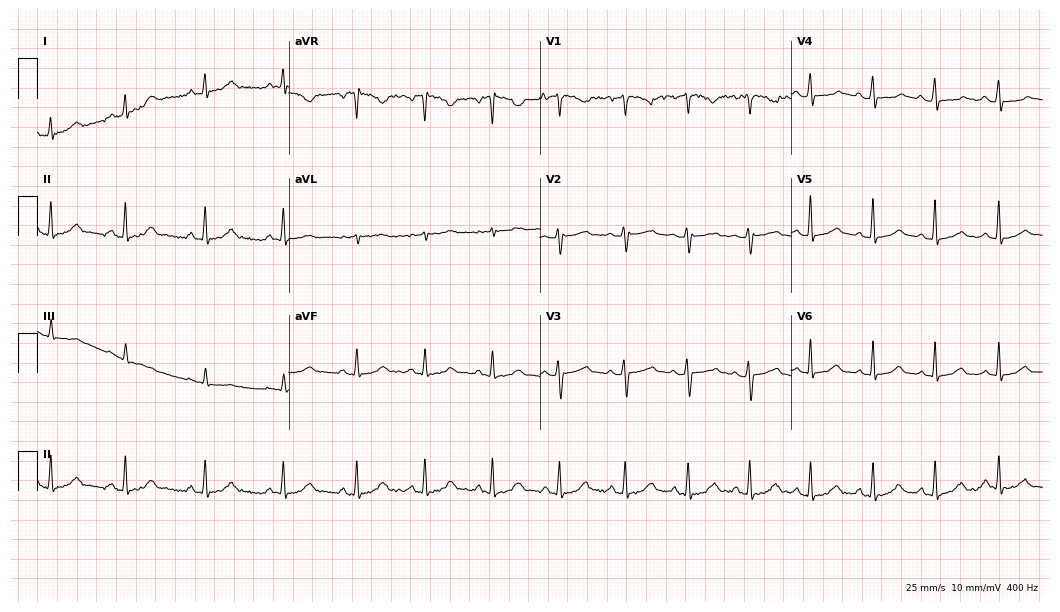
Resting 12-lead electrocardiogram (10.2-second recording at 400 Hz). Patient: a female, 32 years old. Read as a normal ECG.